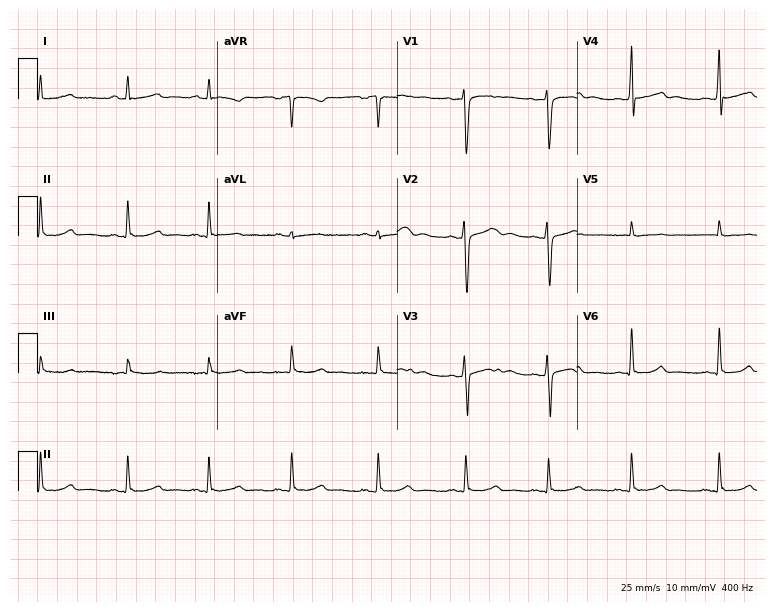
12-lead ECG from a female patient, 27 years old. Screened for six findings — first-degree AV block, right bundle branch block, left bundle branch block, sinus bradycardia, atrial fibrillation, sinus tachycardia — none is recorded.